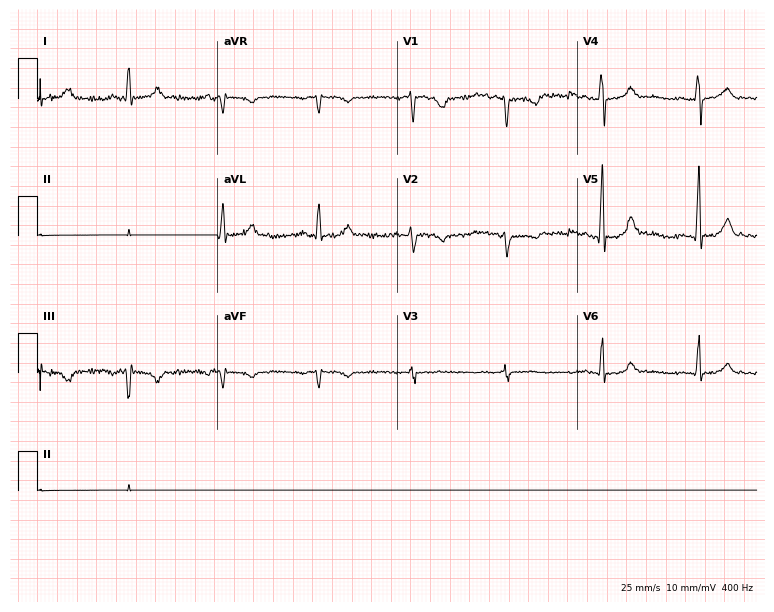
Electrocardiogram (7.3-second recording at 400 Hz), a 64-year-old female patient. Of the six screened findings (first-degree AV block, right bundle branch block (RBBB), left bundle branch block (LBBB), sinus bradycardia, atrial fibrillation (AF), sinus tachycardia), none is recorded.